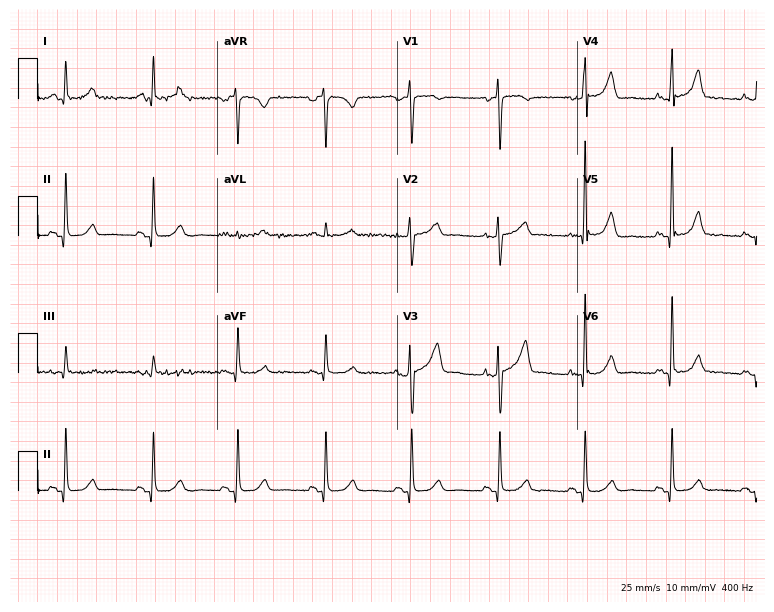
12-lead ECG from a female patient, 50 years old. Screened for six findings — first-degree AV block, right bundle branch block, left bundle branch block, sinus bradycardia, atrial fibrillation, sinus tachycardia — none is recorded.